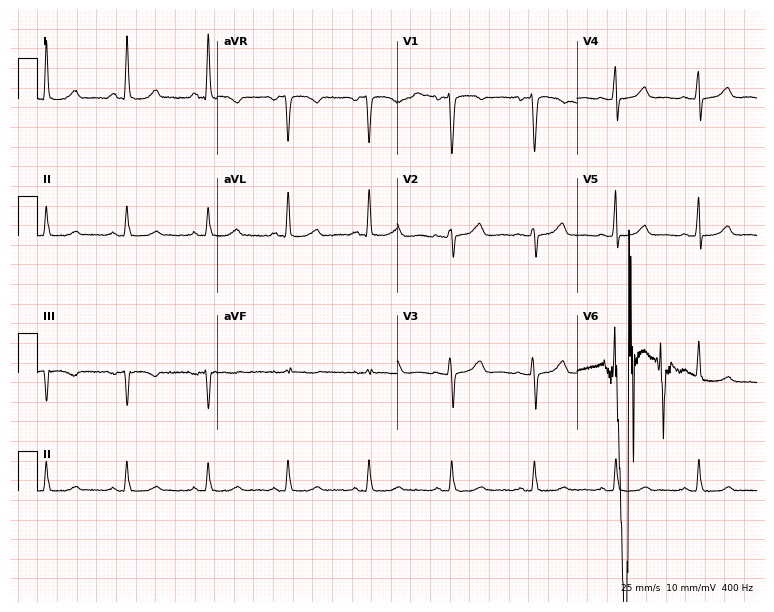
ECG — a 50-year-old female. Labelled as a normal ECG.